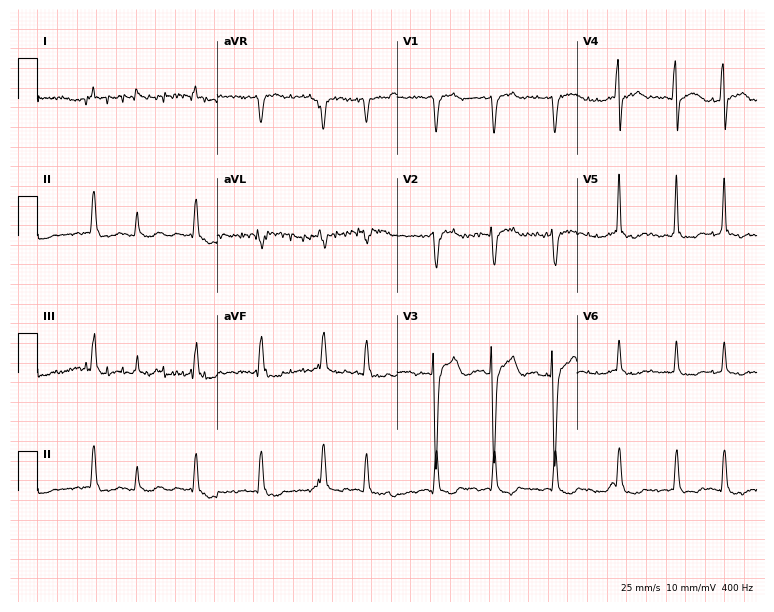
Resting 12-lead electrocardiogram. Patient: a 67-year-old male. None of these six findings is recorded: first-degree AV block, right bundle branch block, left bundle branch block, sinus bradycardia, atrial fibrillation, sinus tachycardia.